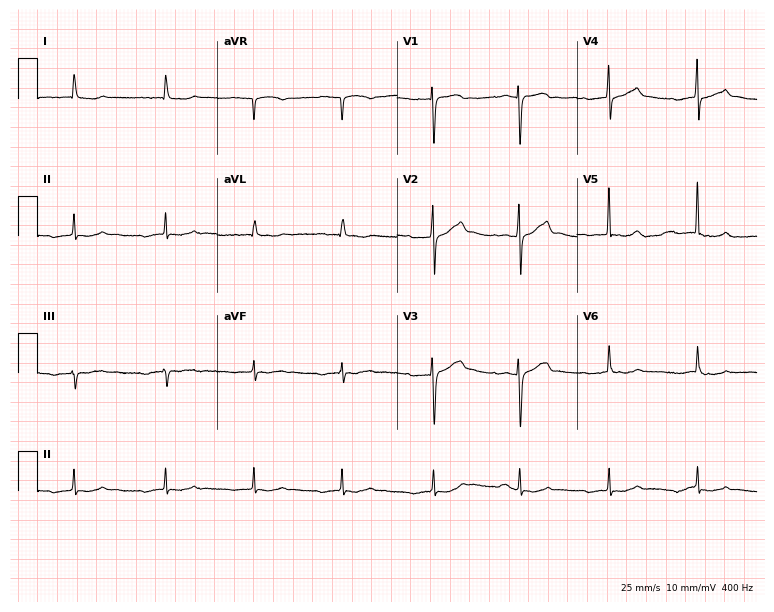
Resting 12-lead electrocardiogram (7.3-second recording at 400 Hz). Patient: an 82-year-old woman. Read as a normal ECG.